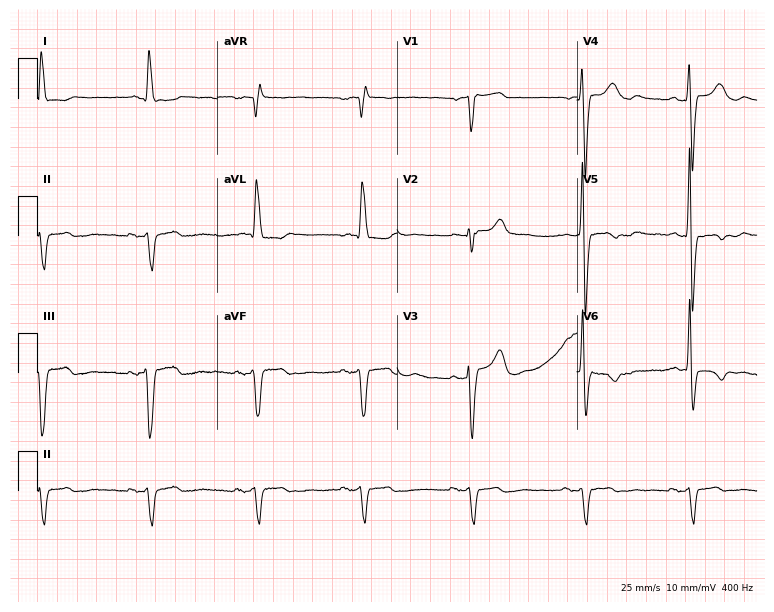
12-lead ECG from a 73-year-old male. Shows left bundle branch block.